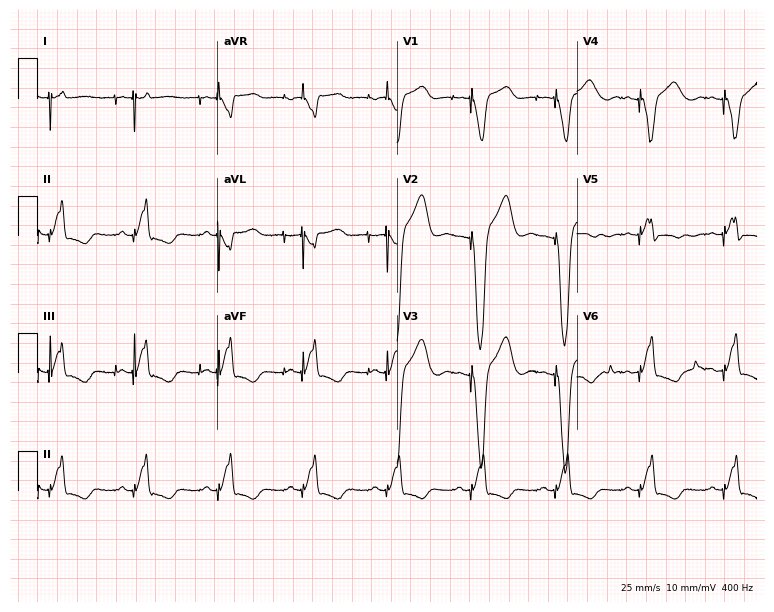
ECG (7.3-second recording at 400 Hz) — a 55-year-old male. Screened for six findings — first-degree AV block, right bundle branch block, left bundle branch block, sinus bradycardia, atrial fibrillation, sinus tachycardia — none is recorded. Only these six findings were labelled.